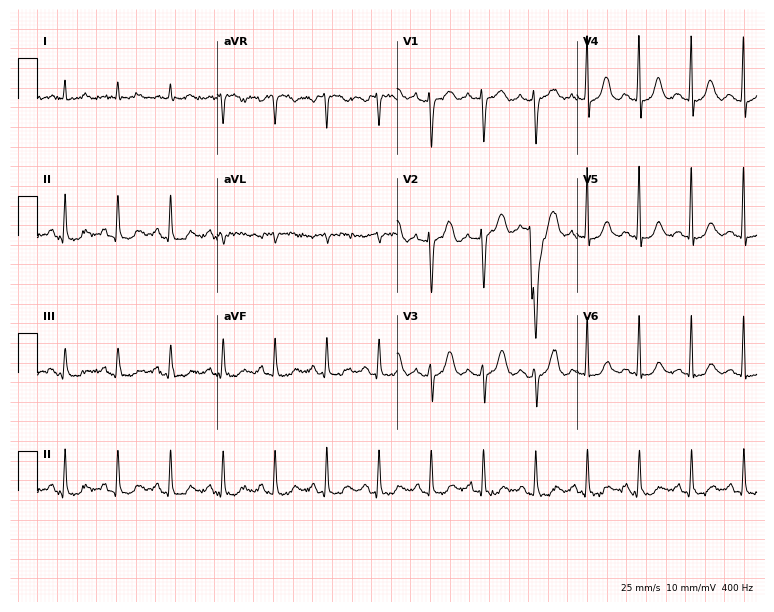
Electrocardiogram, a female patient, 80 years old. Interpretation includes sinus tachycardia (a sinus rate of 100 beats per minute or more).